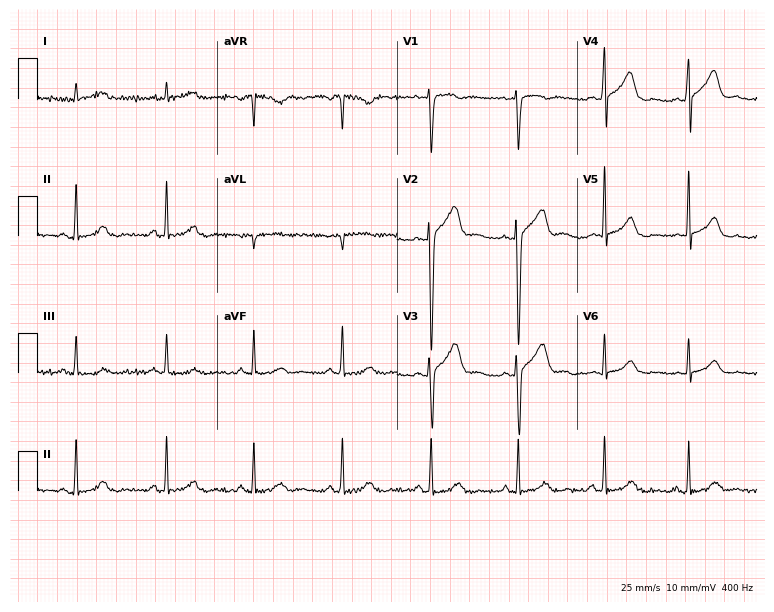
Resting 12-lead electrocardiogram. Patient: a 41-year-old male. Read as a normal ECG.